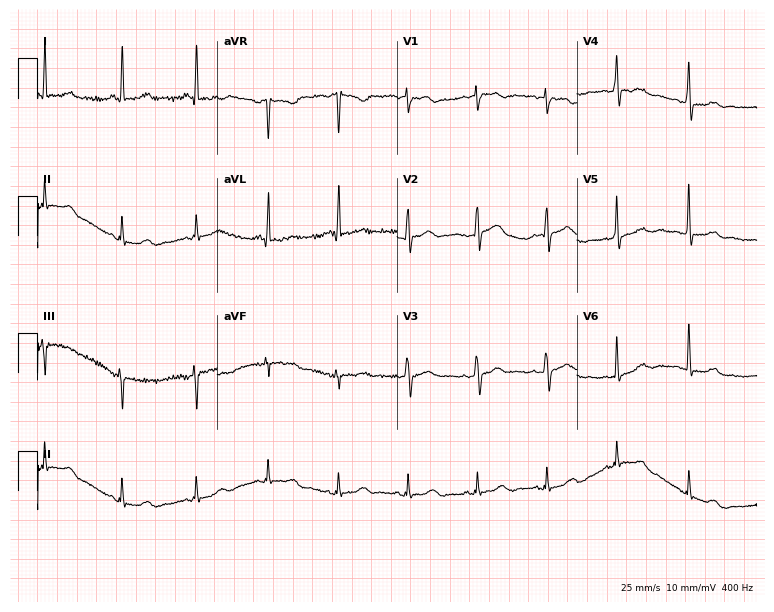
Resting 12-lead electrocardiogram. Patient: a female, 66 years old. Read as a normal ECG.